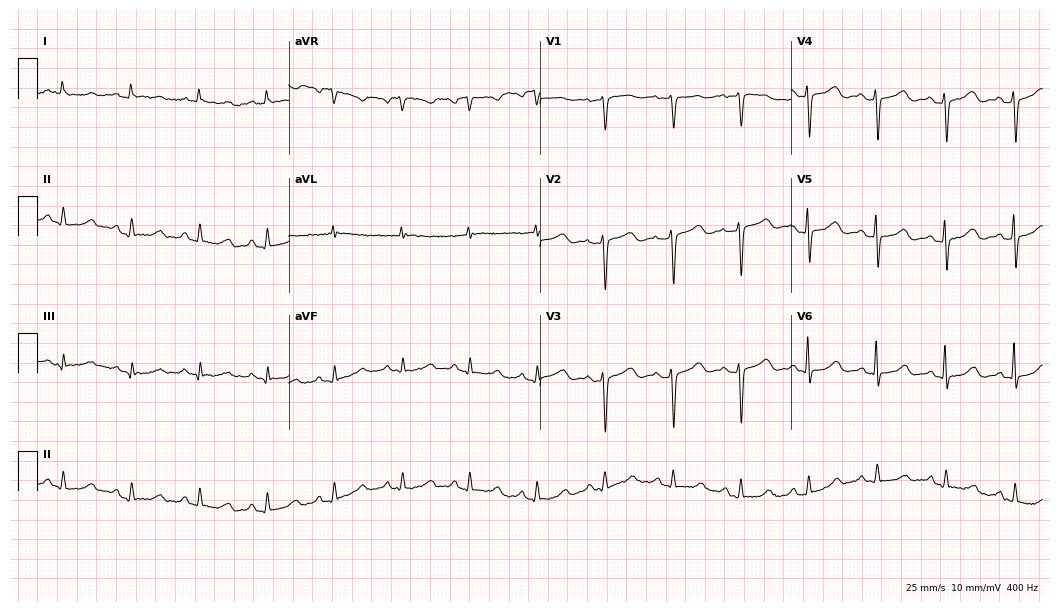
Standard 12-lead ECG recorded from a 79-year-old woman (10.2-second recording at 400 Hz). None of these six findings is recorded: first-degree AV block, right bundle branch block (RBBB), left bundle branch block (LBBB), sinus bradycardia, atrial fibrillation (AF), sinus tachycardia.